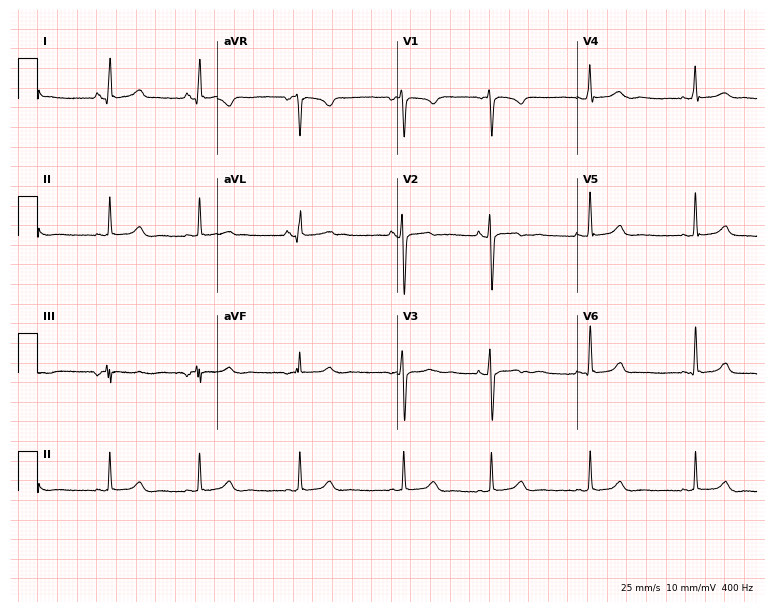
12-lead ECG from a 22-year-old female (7.3-second recording at 400 Hz). No first-degree AV block, right bundle branch block, left bundle branch block, sinus bradycardia, atrial fibrillation or sinus tachycardia recorded for this tracing. Only these six findings were labelled.